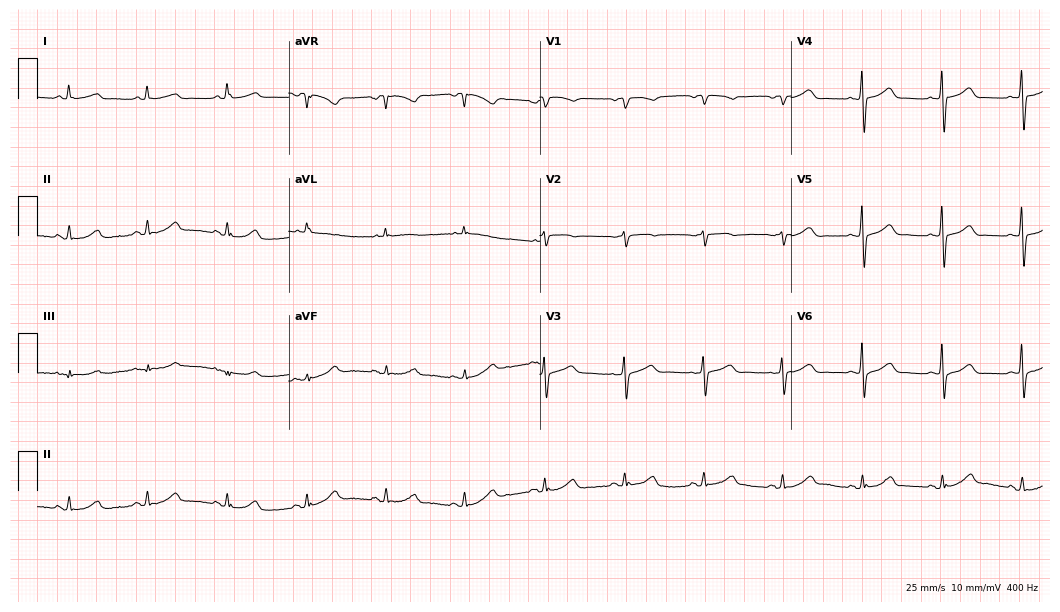
Electrocardiogram, a woman, 75 years old. Of the six screened findings (first-degree AV block, right bundle branch block, left bundle branch block, sinus bradycardia, atrial fibrillation, sinus tachycardia), none is recorded. Findings outside these six are not listed.